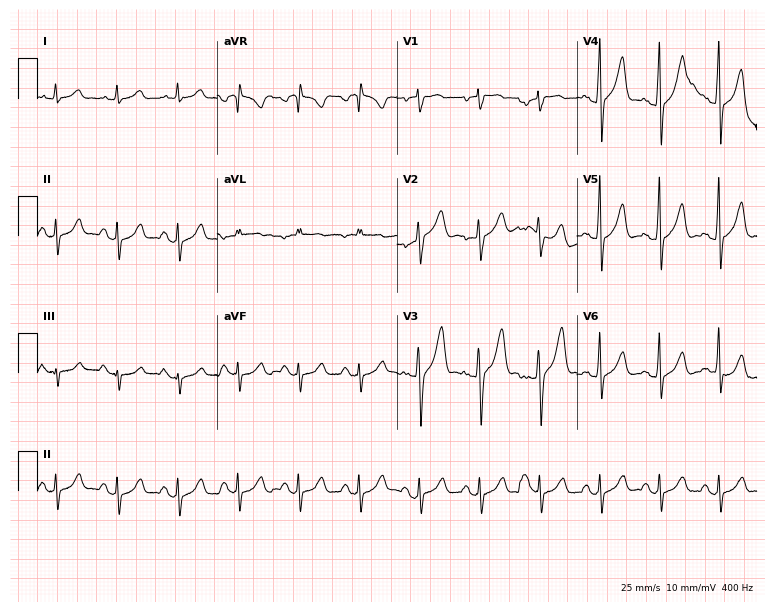
Standard 12-lead ECG recorded from a man, 42 years old (7.3-second recording at 400 Hz). None of these six findings is recorded: first-degree AV block, right bundle branch block (RBBB), left bundle branch block (LBBB), sinus bradycardia, atrial fibrillation (AF), sinus tachycardia.